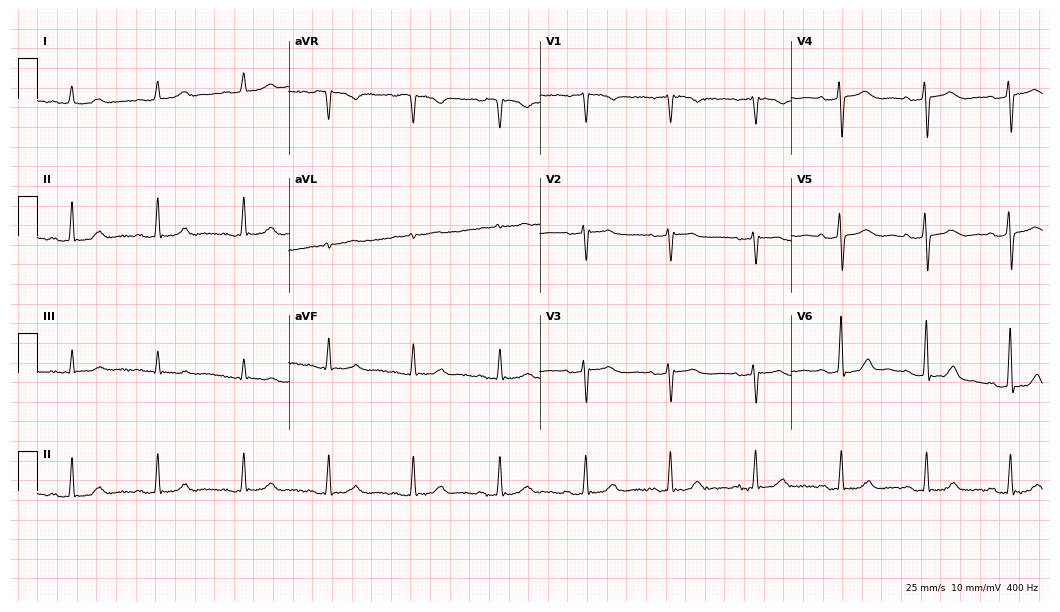
Electrocardiogram, a female patient, 68 years old. Overall reading on record: normal ECG.